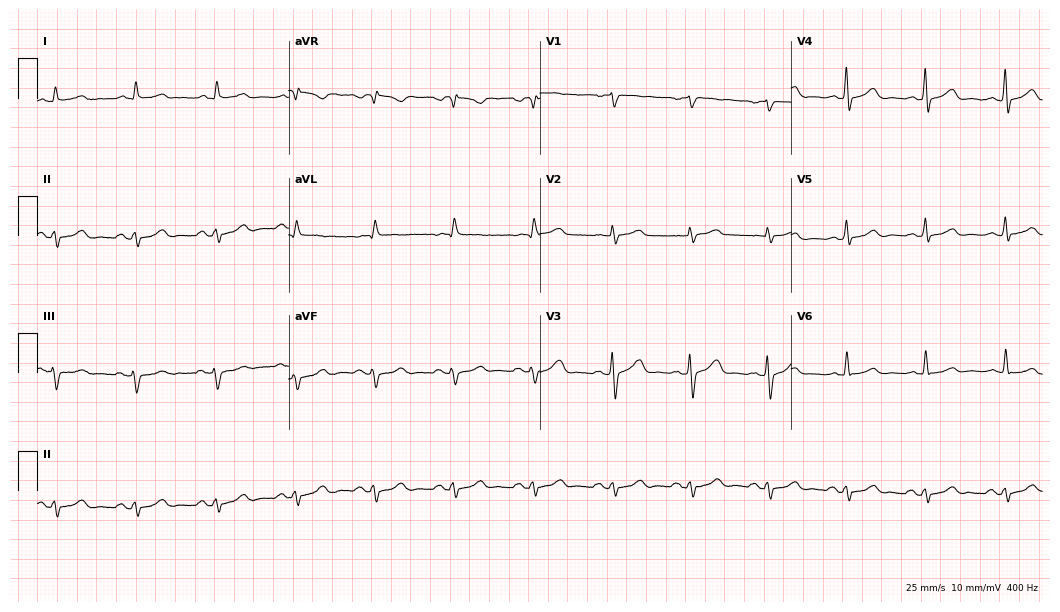
Resting 12-lead electrocardiogram (10.2-second recording at 400 Hz). Patient: a male, 76 years old. Read as a normal ECG.